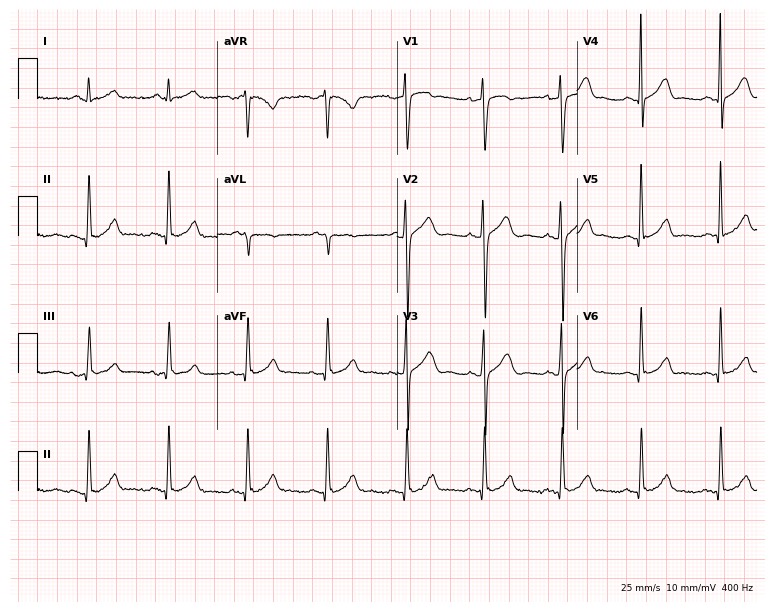
12-lead ECG from a 65-year-old man. Recorded interpretation: within normal limits.